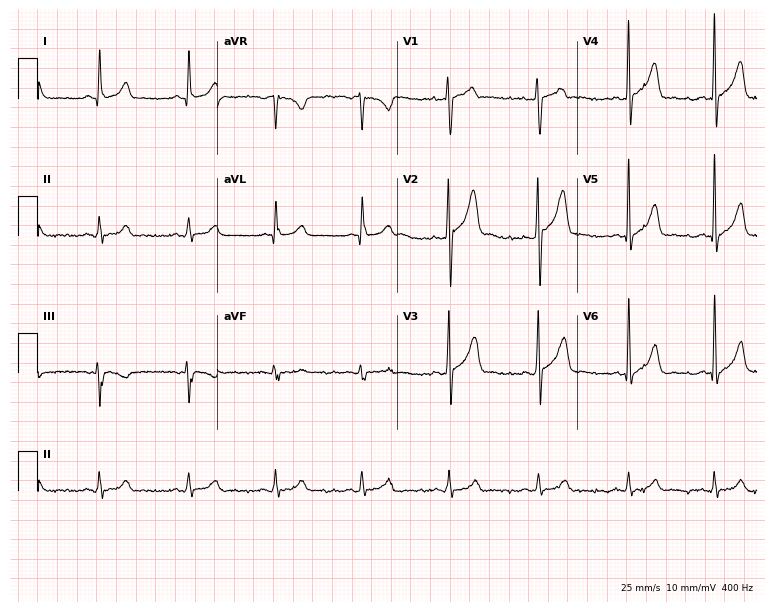
Electrocardiogram (7.3-second recording at 400 Hz), a male, 36 years old. Overall reading on record: normal ECG.